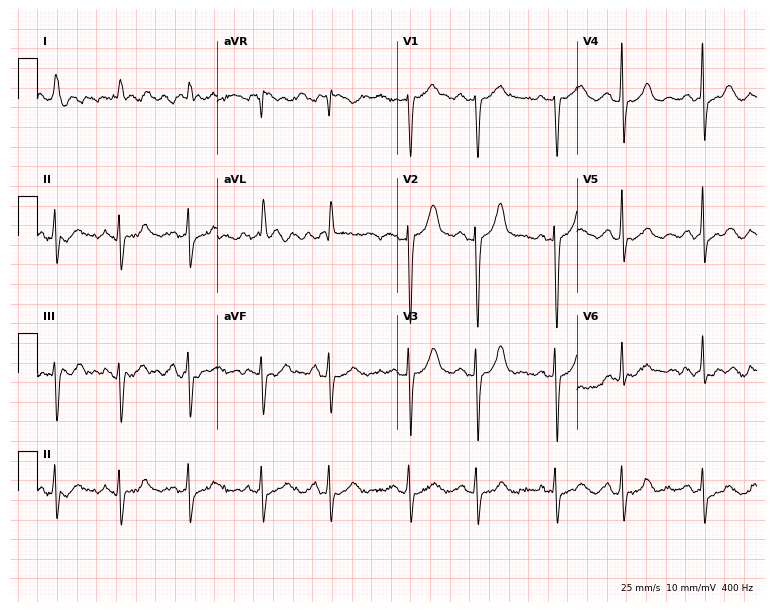
12-lead ECG from a female patient, 76 years old (7.3-second recording at 400 Hz). No first-degree AV block, right bundle branch block (RBBB), left bundle branch block (LBBB), sinus bradycardia, atrial fibrillation (AF) or sinus tachycardia recorded for this tracing. Findings outside these six are not listed.